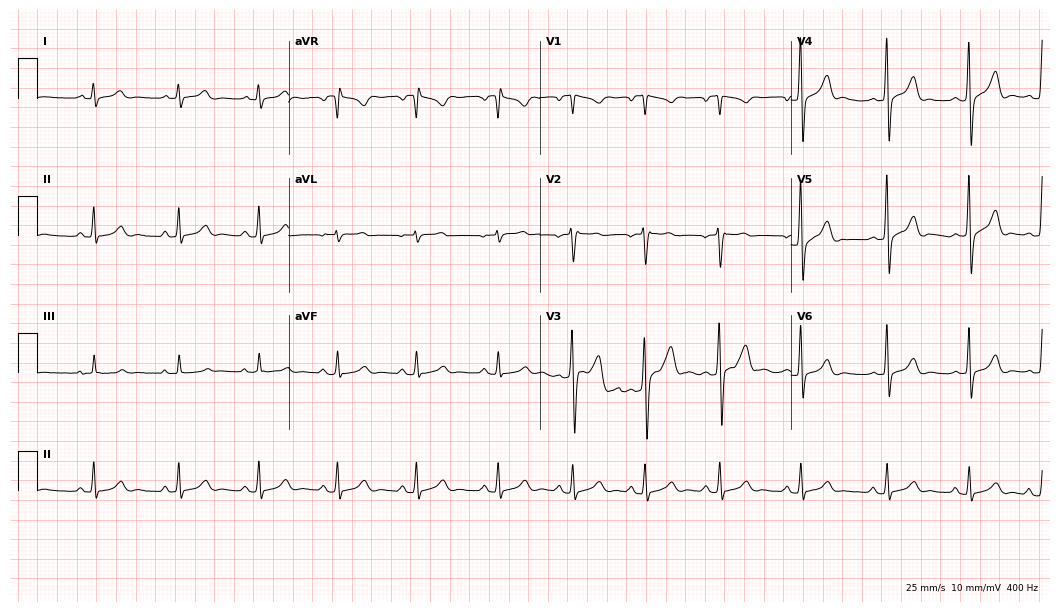
12-lead ECG from a man, 20 years old. Recorded interpretation: within normal limits.